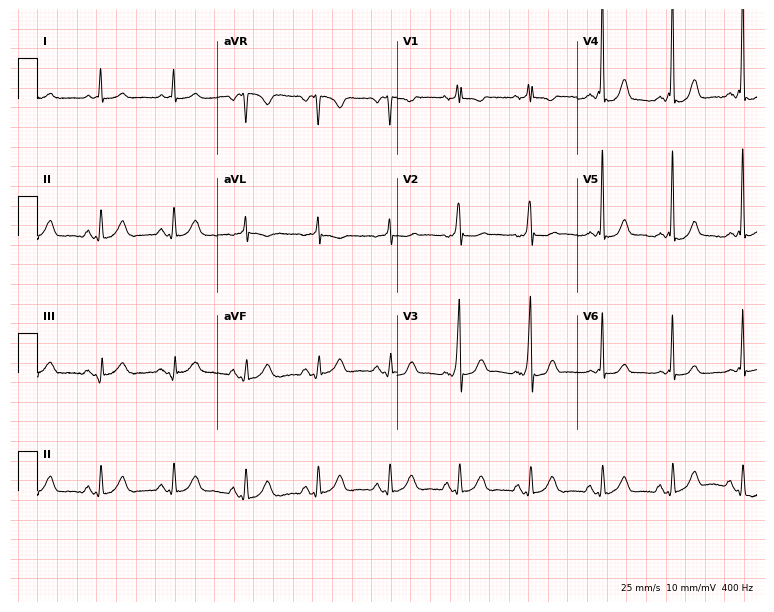
ECG — a man, 49 years old. Screened for six findings — first-degree AV block, right bundle branch block, left bundle branch block, sinus bradycardia, atrial fibrillation, sinus tachycardia — none is recorded.